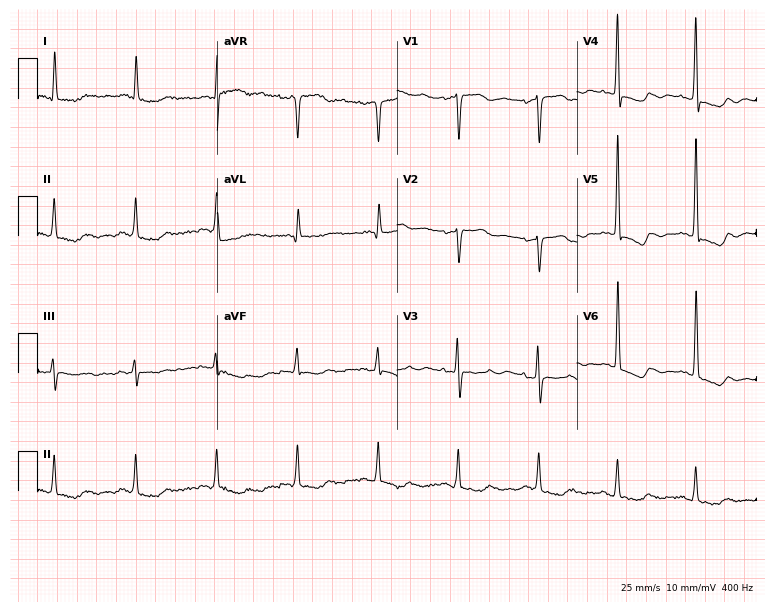
12-lead ECG from a woman, 76 years old. No first-degree AV block, right bundle branch block, left bundle branch block, sinus bradycardia, atrial fibrillation or sinus tachycardia recorded for this tracing. Findings outside these six are not listed.